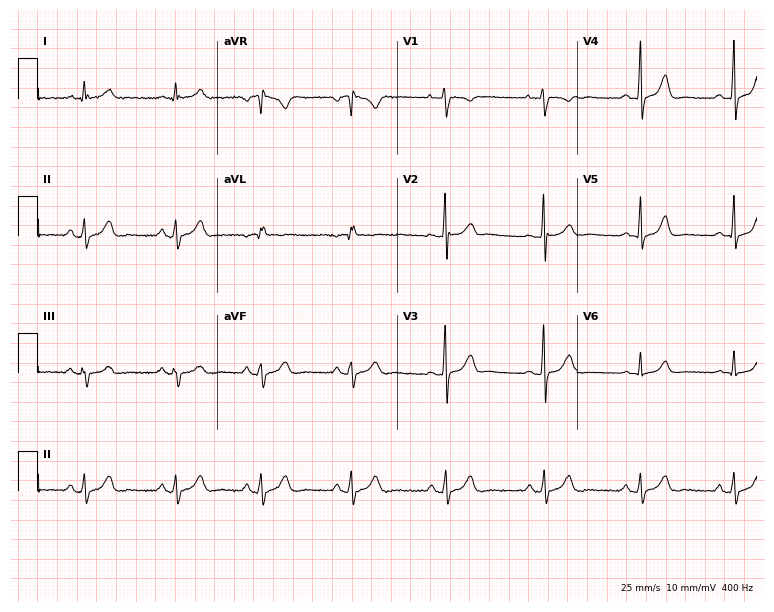
12-lead ECG from a 36-year-old woman. Labelled as a normal ECG.